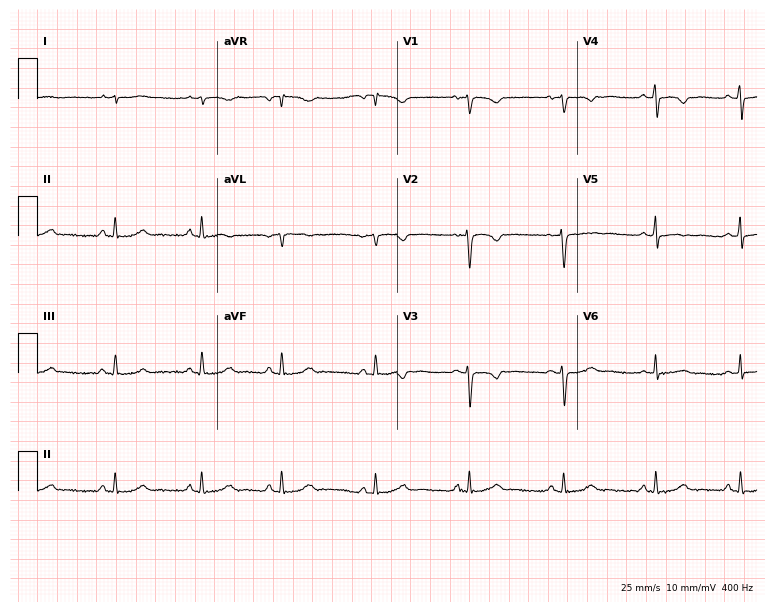
12-lead ECG from a 25-year-old female patient. No first-degree AV block, right bundle branch block (RBBB), left bundle branch block (LBBB), sinus bradycardia, atrial fibrillation (AF) or sinus tachycardia recorded for this tracing.